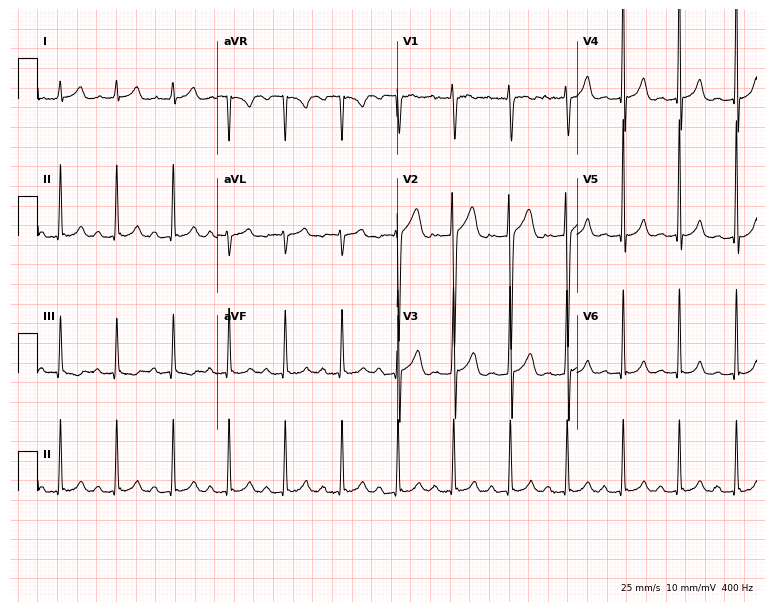
12-lead ECG from a man, 20 years old. Findings include sinus tachycardia (a sinus rate of 100 beats per minute or more).